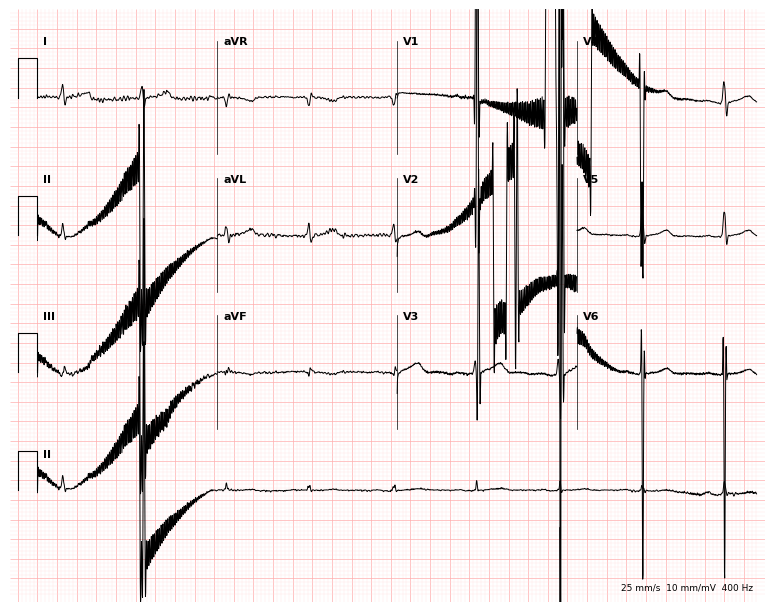
Electrocardiogram, a 43-year-old male patient. Of the six screened findings (first-degree AV block, right bundle branch block, left bundle branch block, sinus bradycardia, atrial fibrillation, sinus tachycardia), none is recorded. Only these six findings were labelled.